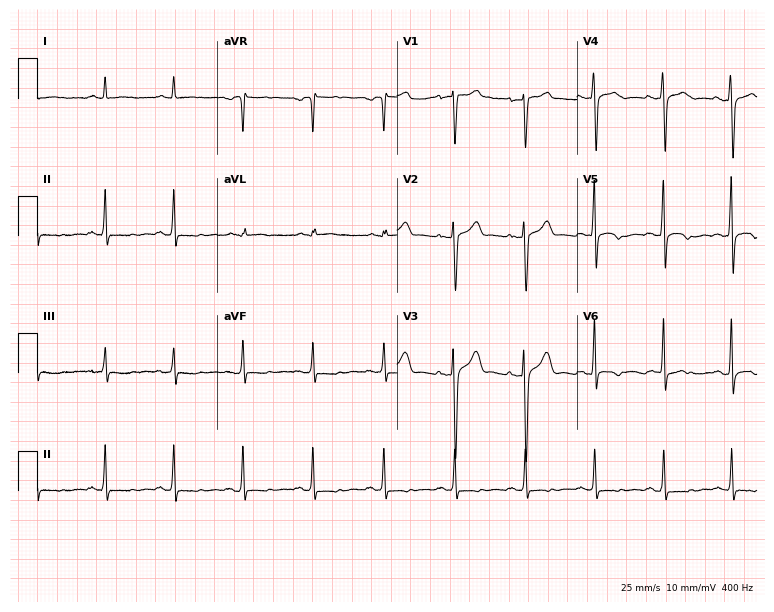
12-lead ECG (7.3-second recording at 400 Hz) from a 41-year-old man. Screened for six findings — first-degree AV block, right bundle branch block, left bundle branch block, sinus bradycardia, atrial fibrillation, sinus tachycardia — none is recorded.